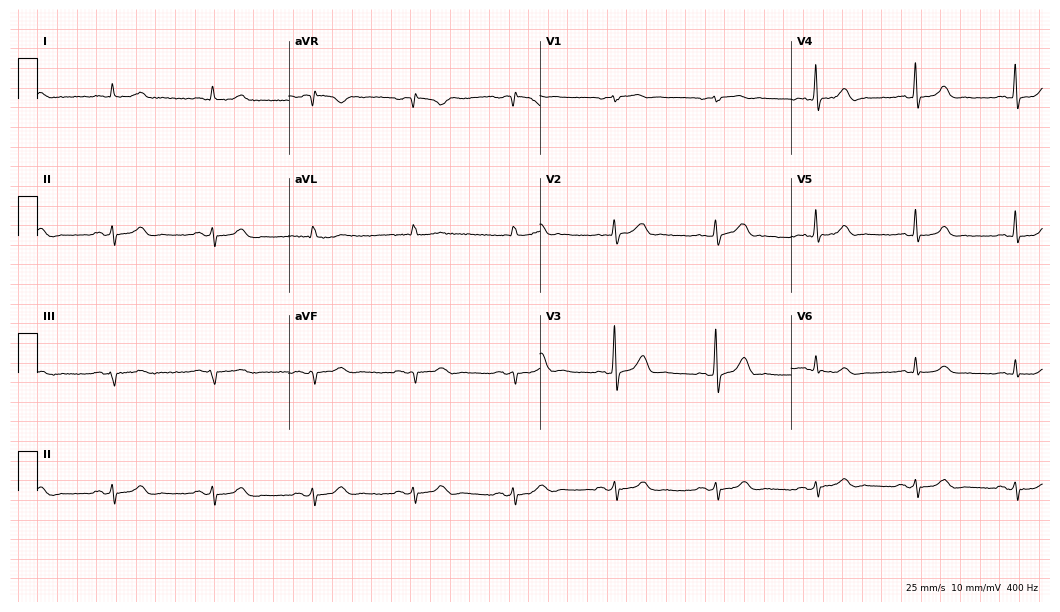
12-lead ECG (10.2-second recording at 400 Hz) from a man, 75 years old. Screened for six findings — first-degree AV block, right bundle branch block, left bundle branch block, sinus bradycardia, atrial fibrillation, sinus tachycardia — none is recorded.